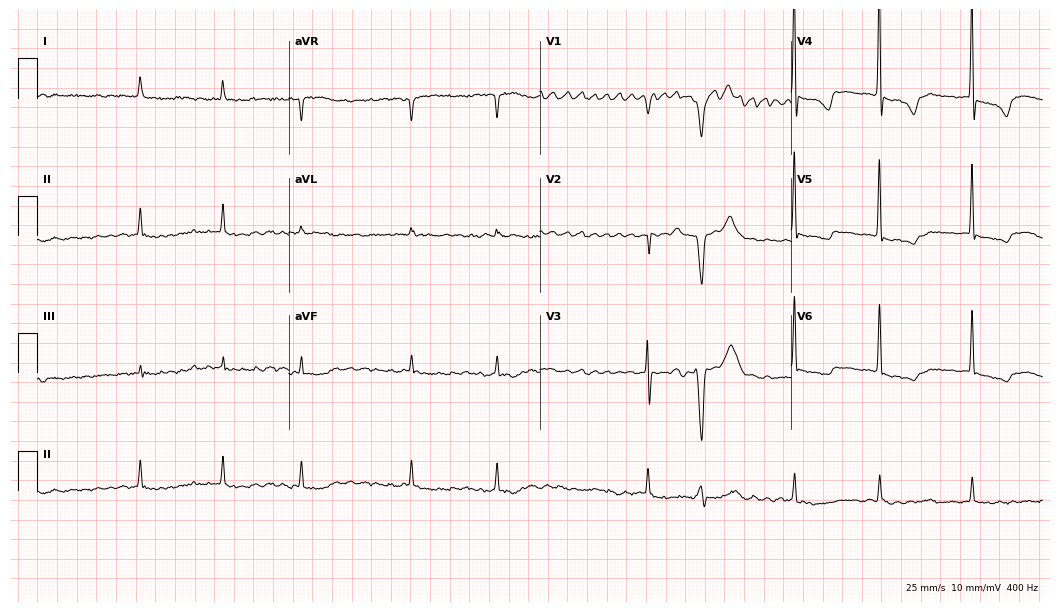
12-lead ECG from an 84-year-old female patient. Shows atrial fibrillation (AF).